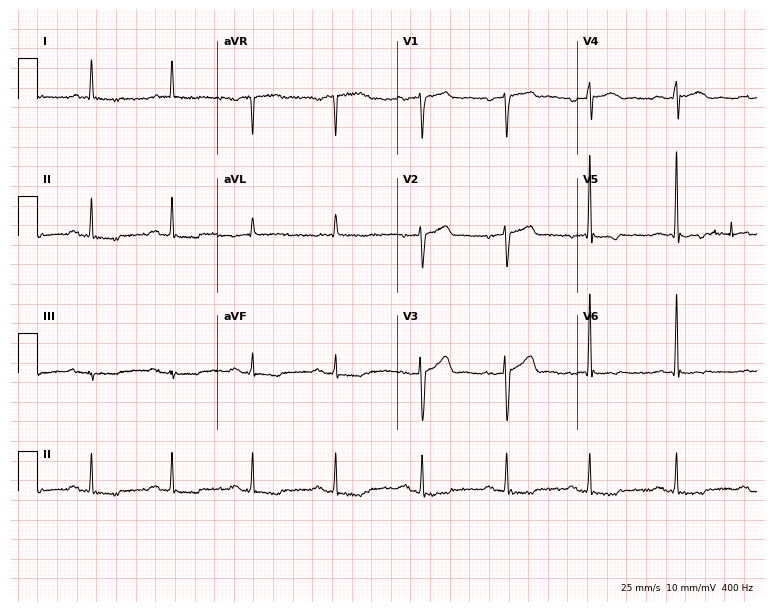
12-lead ECG from a man, 74 years old. No first-degree AV block, right bundle branch block, left bundle branch block, sinus bradycardia, atrial fibrillation or sinus tachycardia recorded for this tracing. Only these six findings were labelled.